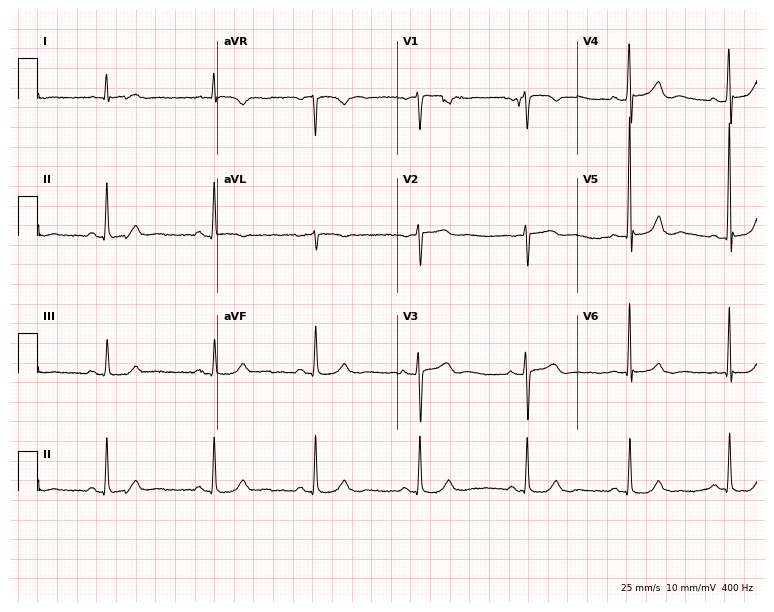
Standard 12-lead ECG recorded from a 71-year-old male. None of these six findings is recorded: first-degree AV block, right bundle branch block, left bundle branch block, sinus bradycardia, atrial fibrillation, sinus tachycardia.